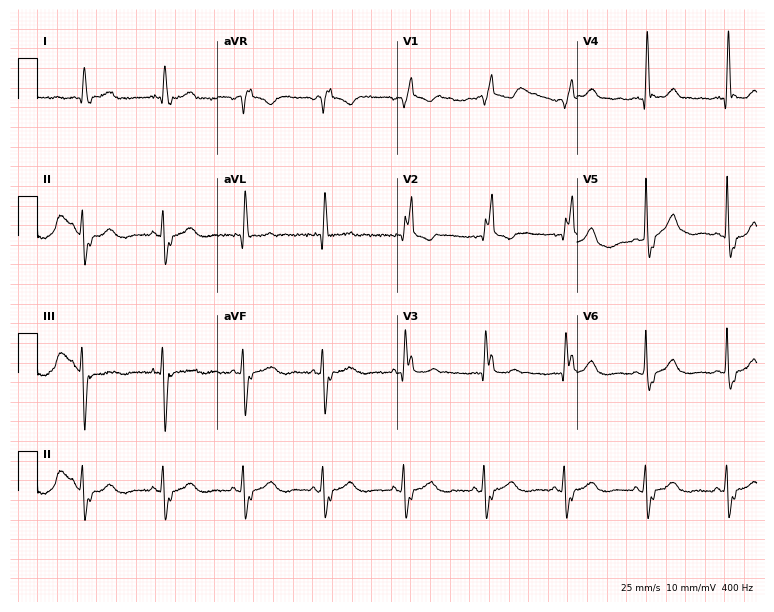
Resting 12-lead electrocardiogram. Patient: a 75-year-old female. The tracing shows right bundle branch block.